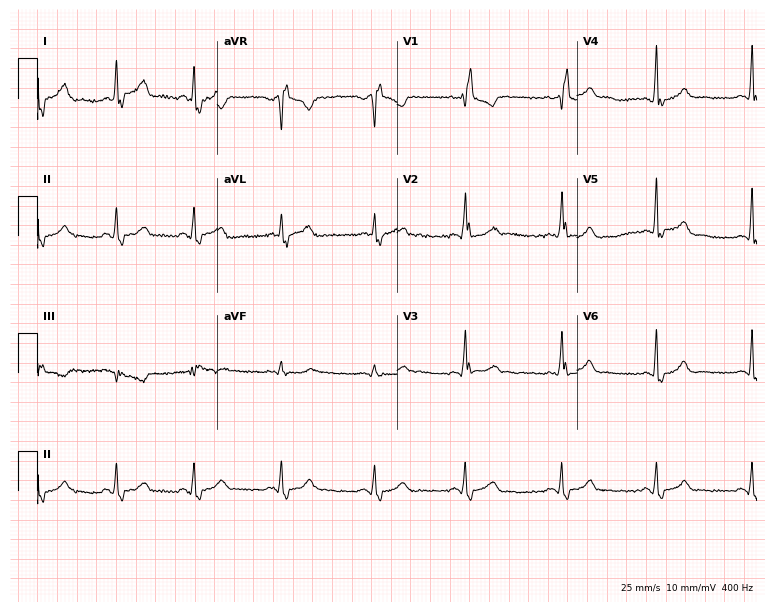
ECG — a 49-year-old female patient. Findings include right bundle branch block.